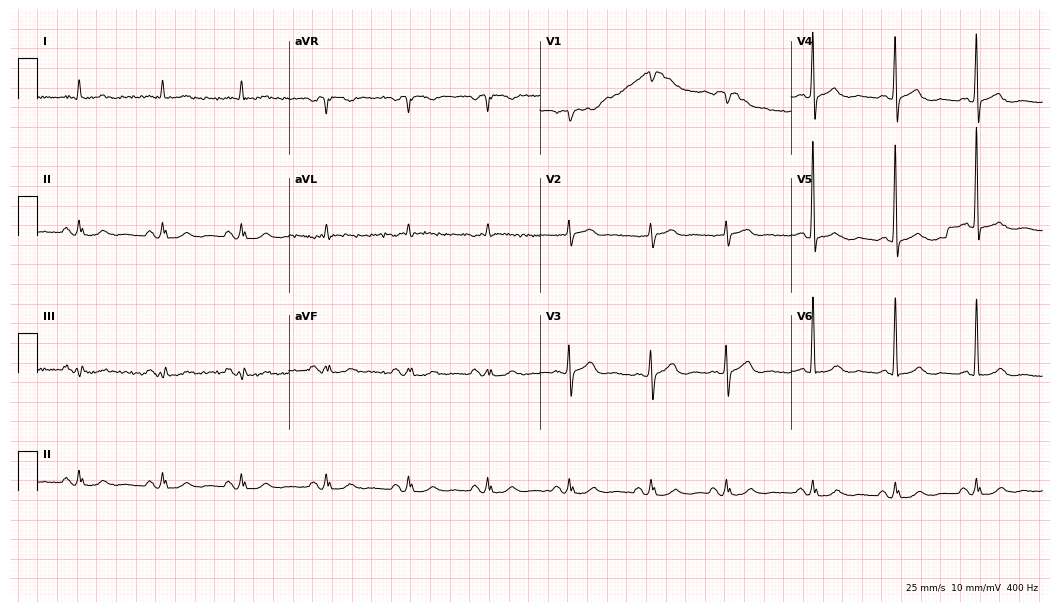
Electrocardiogram, a 79-year-old male. Of the six screened findings (first-degree AV block, right bundle branch block, left bundle branch block, sinus bradycardia, atrial fibrillation, sinus tachycardia), none is recorded. Other findings, if any, are not listed.